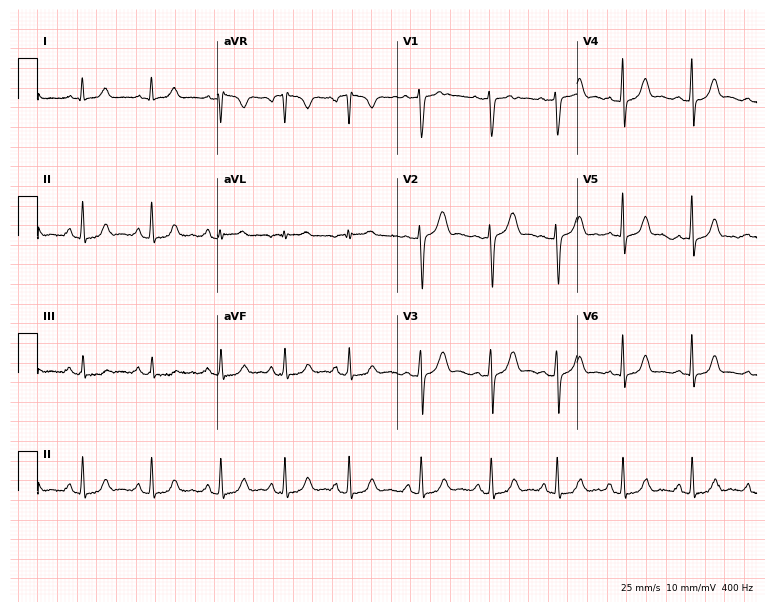
Resting 12-lead electrocardiogram. Patient: a woman, 22 years old. Read as a normal ECG.